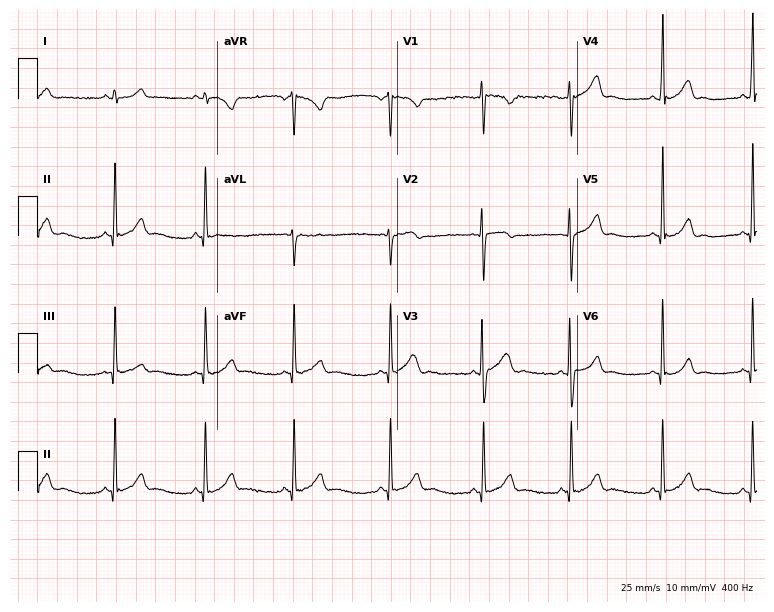
ECG (7.3-second recording at 400 Hz) — a female patient, 17 years old. Labelled as a normal ECG.